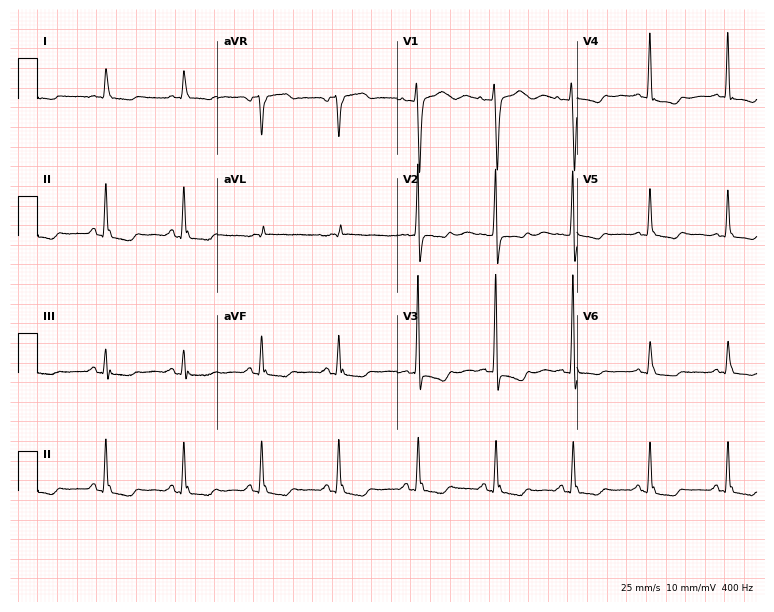
12-lead ECG from an 84-year-old female patient (7.3-second recording at 400 Hz). No first-degree AV block, right bundle branch block (RBBB), left bundle branch block (LBBB), sinus bradycardia, atrial fibrillation (AF) or sinus tachycardia recorded for this tracing. Findings outside these six are not listed.